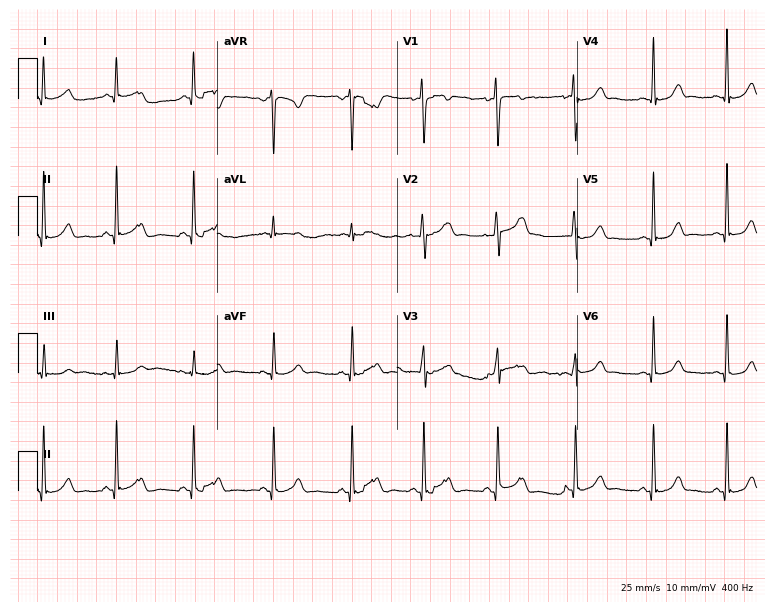
12-lead ECG from a 36-year-old female. No first-degree AV block, right bundle branch block, left bundle branch block, sinus bradycardia, atrial fibrillation or sinus tachycardia recorded for this tracing.